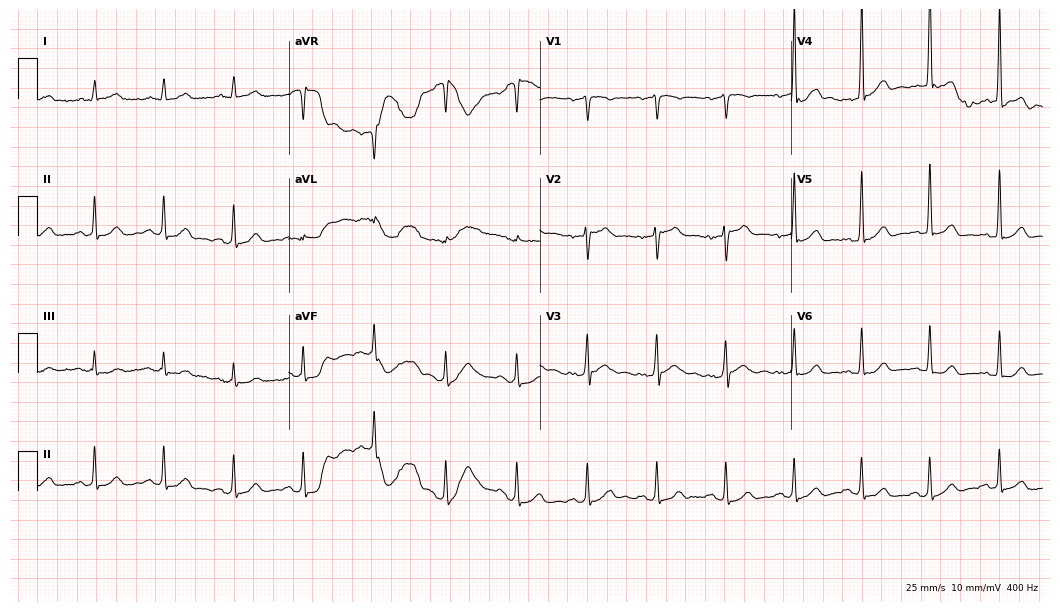
Standard 12-lead ECG recorded from a 57-year-old man (10.2-second recording at 400 Hz). Read as a normal ECG.